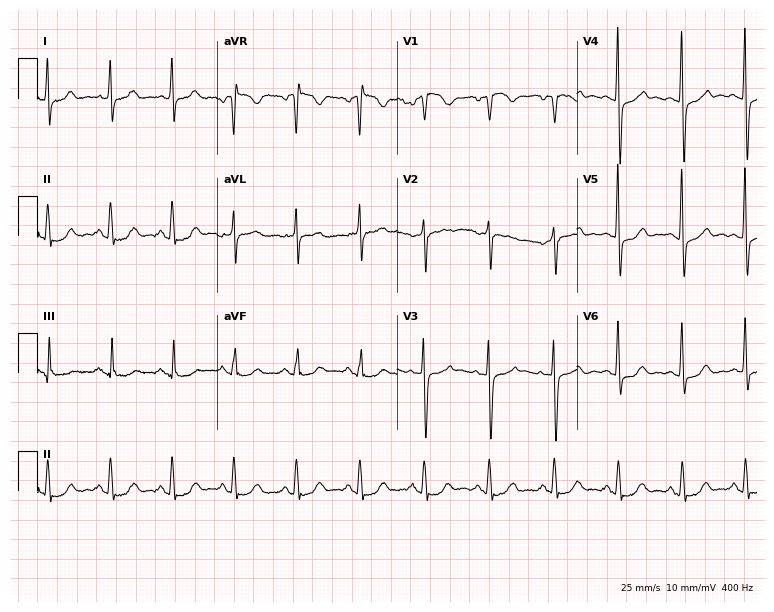
Standard 12-lead ECG recorded from a 53-year-old male patient (7.3-second recording at 400 Hz). Read as a normal ECG.